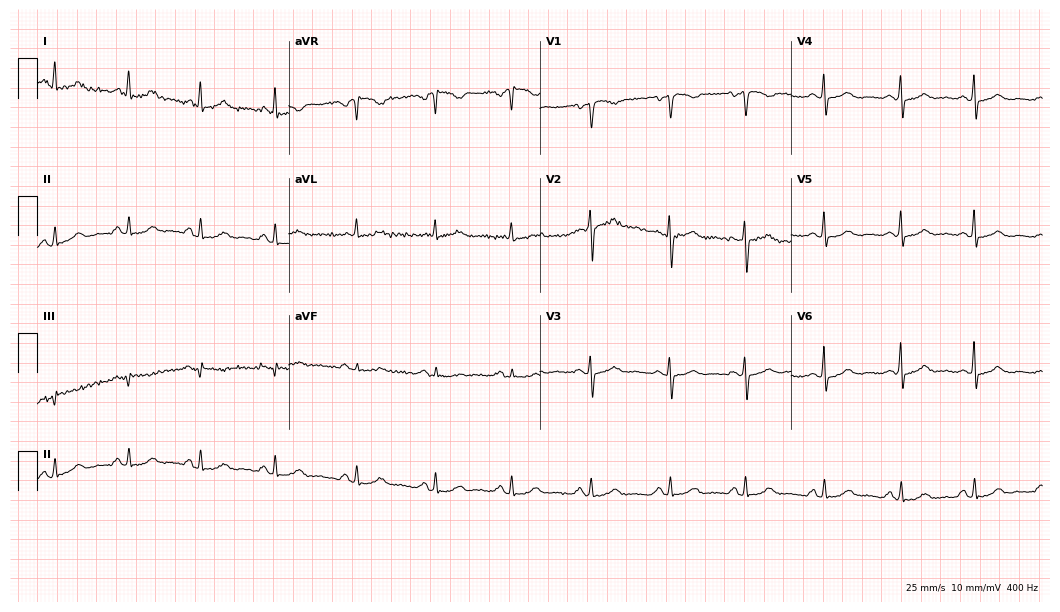
12-lead ECG (10.2-second recording at 400 Hz) from a 53-year-old female patient. Screened for six findings — first-degree AV block, right bundle branch block, left bundle branch block, sinus bradycardia, atrial fibrillation, sinus tachycardia — none is recorded.